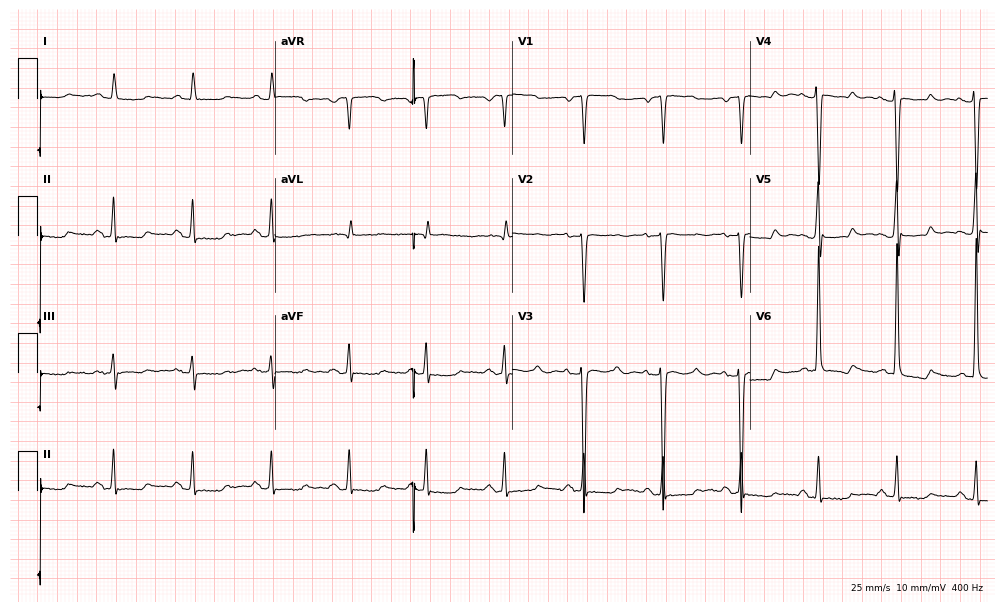
Electrocardiogram (9.7-second recording at 400 Hz), a 51-year-old female. Of the six screened findings (first-degree AV block, right bundle branch block (RBBB), left bundle branch block (LBBB), sinus bradycardia, atrial fibrillation (AF), sinus tachycardia), none is recorded.